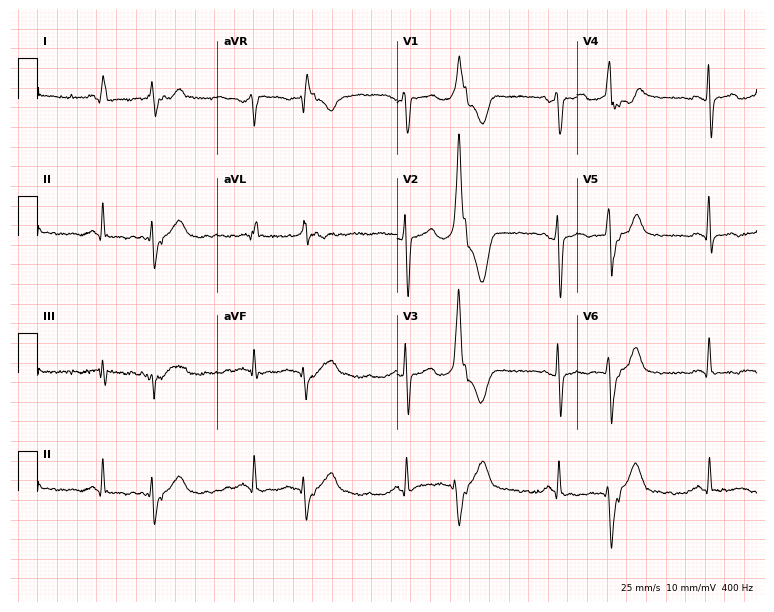
Resting 12-lead electrocardiogram (7.3-second recording at 400 Hz). Patient: a 53-year-old woman. None of these six findings is recorded: first-degree AV block, right bundle branch block, left bundle branch block, sinus bradycardia, atrial fibrillation, sinus tachycardia.